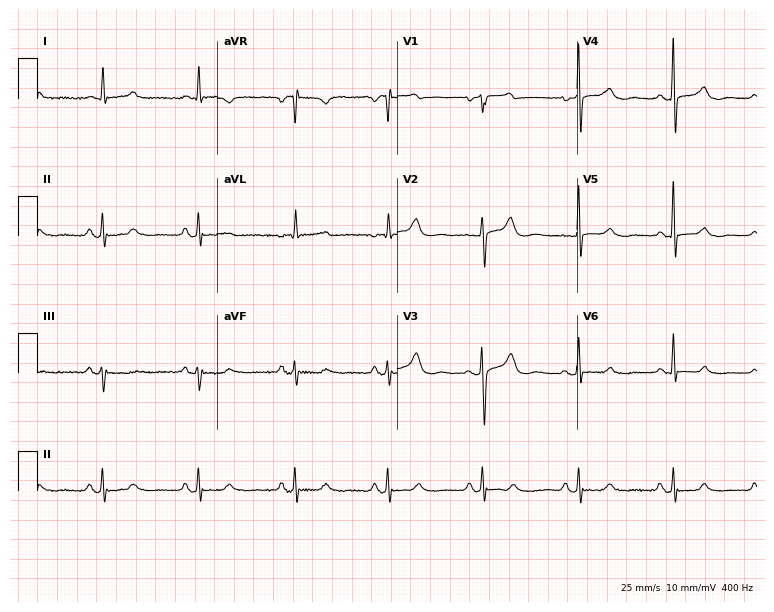
12-lead ECG from an 85-year-old female. Recorded interpretation: within normal limits.